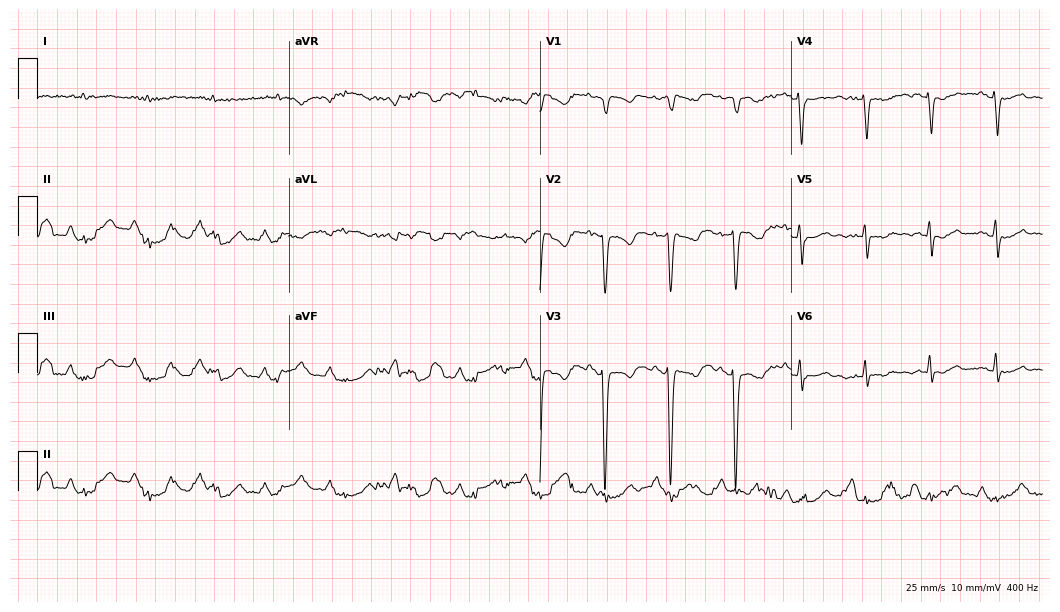
12-lead ECG (10.2-second recording at 400 Hz) from a male, 75 years old. Screened for six findings — first-degree AV block, right bundle branch block, left bundle branch block, sinus bradycardia, atrial fibrillation, sinus tachycardia — none is recorded. Other findings, if any, are not listed.